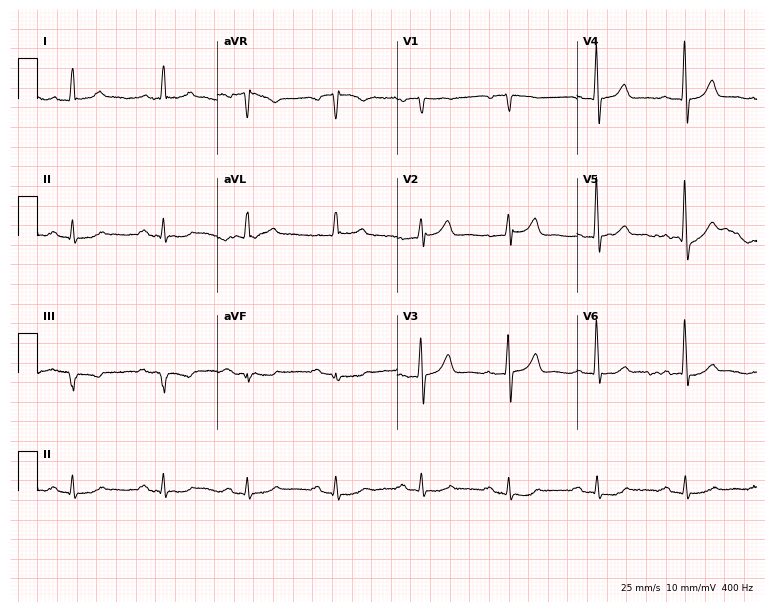
12-lead ECG from a 60-year-old male. Shows first-degree AV block.